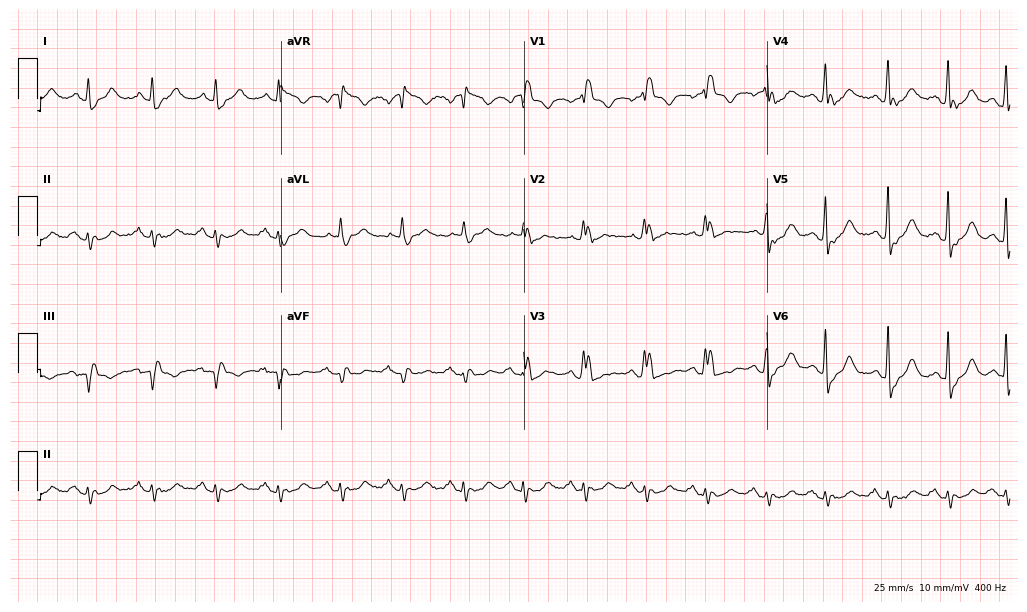
Electrocardiogram (9.9-second recording at 400 Hz), a 71-year-old male patient. Interpretation includes right bundle branch block.